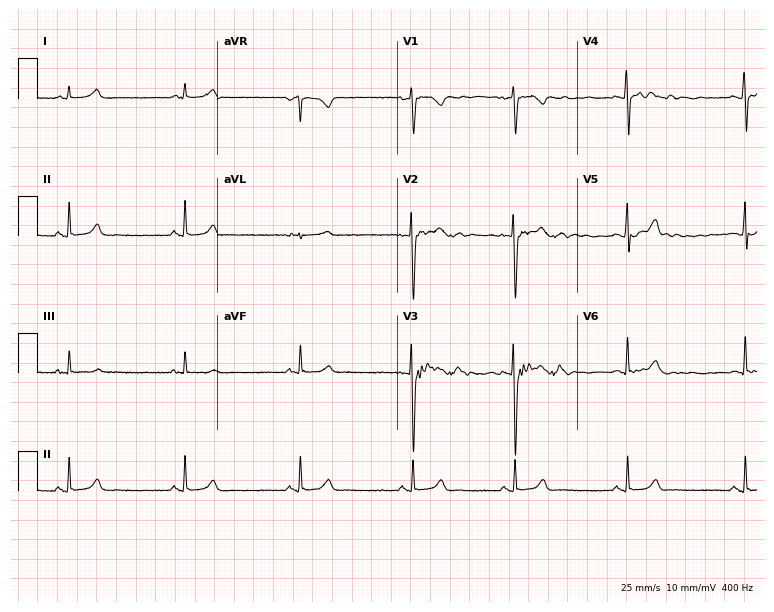
12-lead ECG from a female patient, 23 years old (7.3-second recording at 400 Hz). No first-degree AV block, right bundle branch block, left bundle branch block, sinus bradycardia, atrial fibrillation or sinus tachycardia recorded for this tracing.